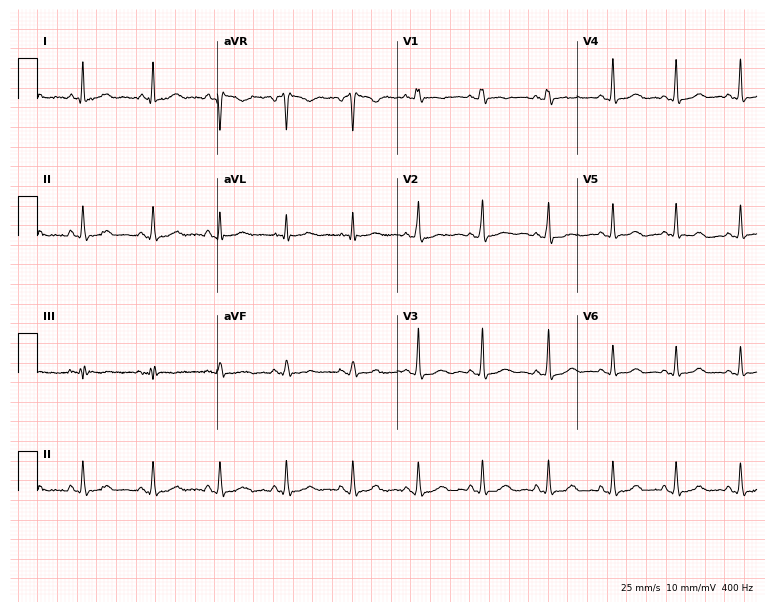
Resting 12-lead electrocardiogram (7.3-second recording at 400 Hz). Patient: a 40-year-old female. Read as a normal ECG.